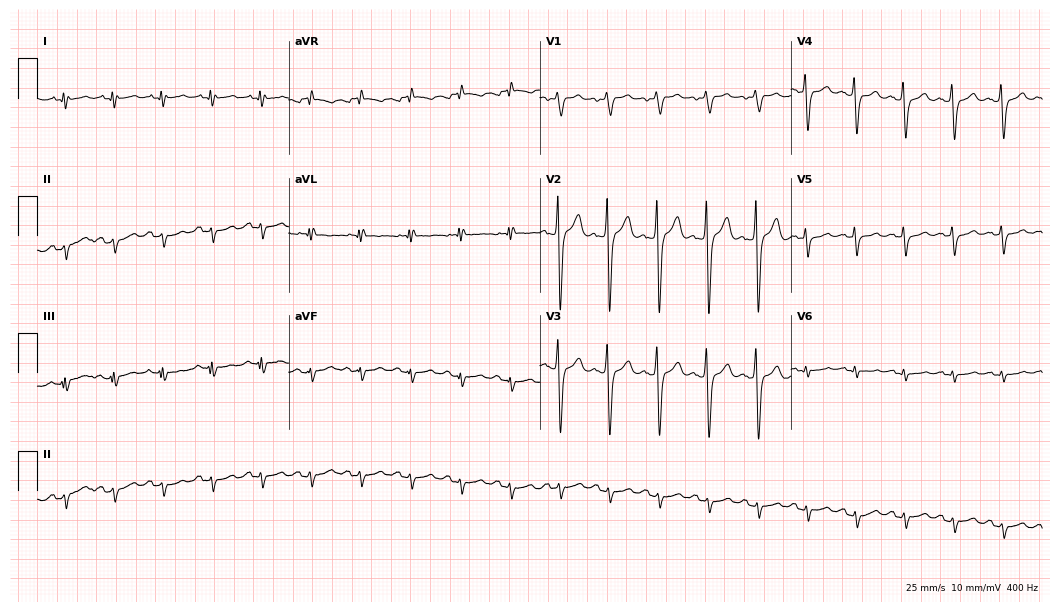
Electrocardiogram (10.2-second recording at 400 Hz), a man, 57 years old. Of the six screened findings (first-degree AV block, right bundle branch block, left bundle branch block, sinus bradycardia, atrial fibrillation, sinus tachycardia), none is recorded.